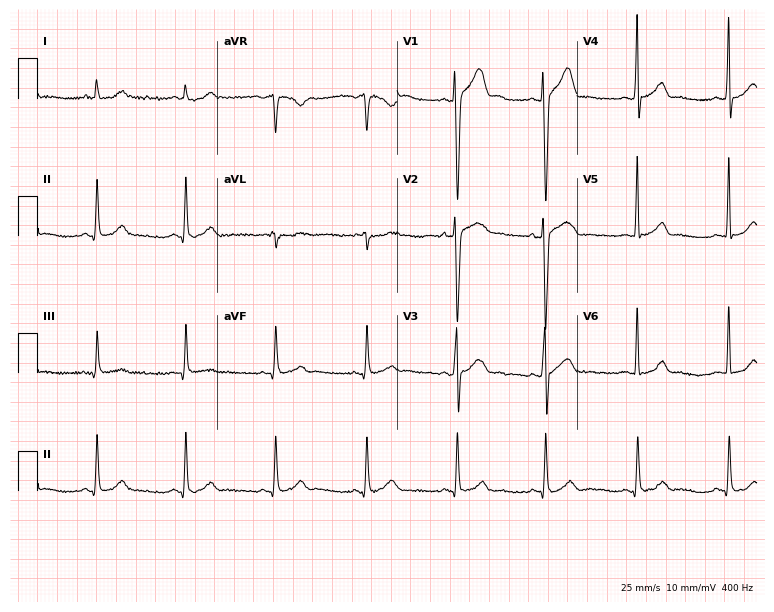
Standard 12-lead ECG recorded from a man, 26 years old (7.3-second recording at 400 Hz). None of these six findings is recorded: first-degree AV block, right bundle branch block, left bundle branch block, sinus bradycardia, atrial fibrillation, sinus tachycardia.